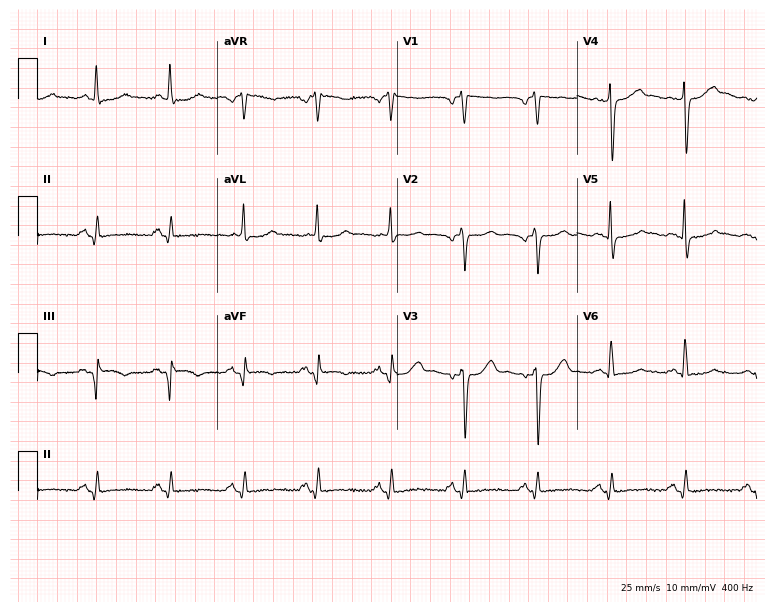
12-lead ECG from a 55-year-old male patient. No first-degree AV block, right bundle branch block, left bundle branch block, sinus bradycardia, atrial fibrillation or sinus tachycardia recorded for this tracing. Other findings, if any, are not listed.